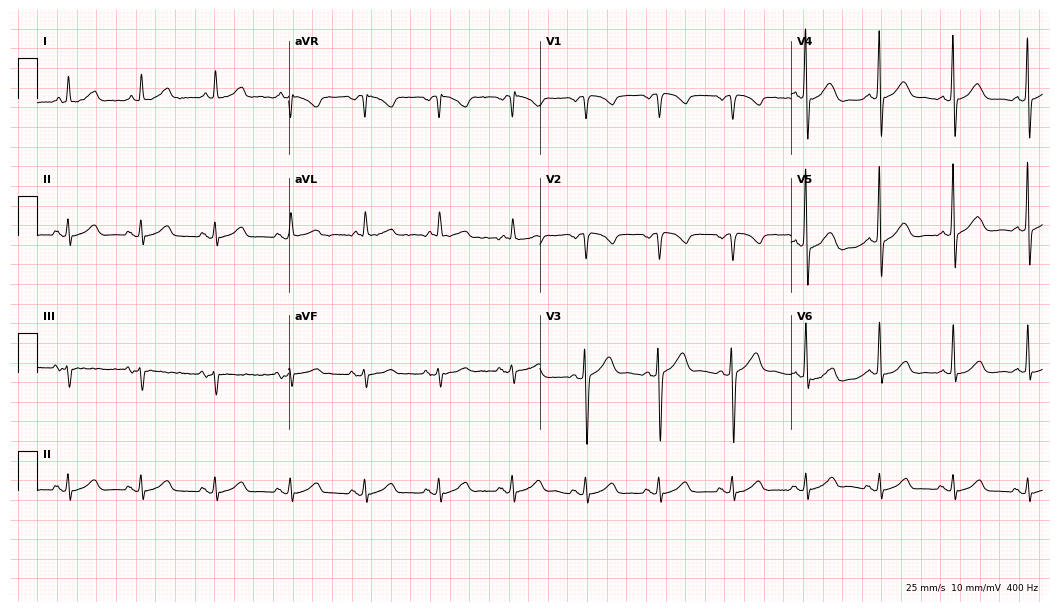
12-lead ECG (10.2-second recording at 400 Hz) from a 64-year-old female. Screened for six findings — first-degree AV block, right bundle branch block, left bundle branch block, sinus bradycardia, atrial fibrillation, sinus tachycardia — none is recorded.